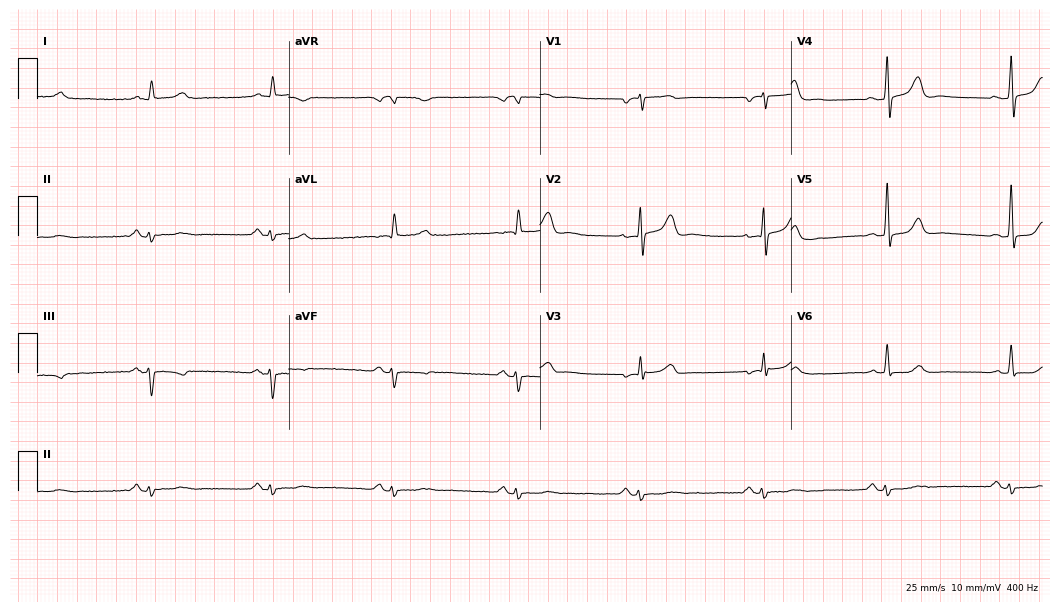
Resting 12-lead electrocardiogram (10.2-second recording at 400 Hz). Patient: a male, 81 years old. The tracing shows sinus bradycardia (a sinus rate of 50 beats per minute or less).